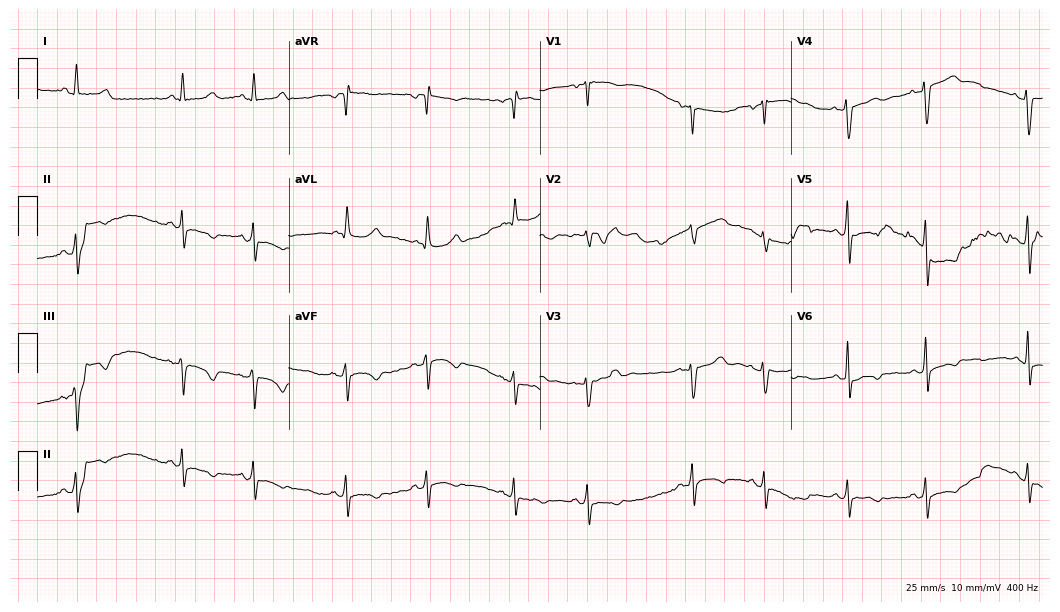
12-lead ECG (10.2-second recording at 400 Hz) from a 56-year-old female. Screened for six findings — first-degree AV block, right bundle branch block, left bundle branch block, sinus bradycardia, atrial fibrillation, sinus tachycardia — none is recorded. Findings outside these six are not listed.